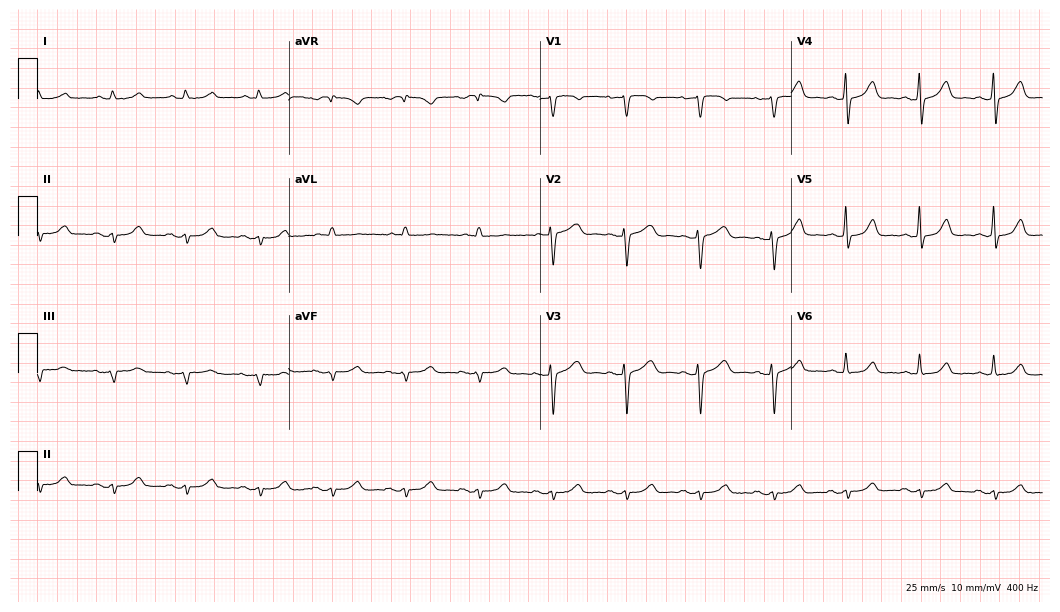
12-lead ECG from a female patient, 64 years old (10.2-second recording at 400 Hz). No first-degree AV block, right bundle branch block (RBBB), left bundle branch block (LBBB), sinus bradycardia, atrial fibrillation (AF) or sinus tachycardia recorded for this tracing.